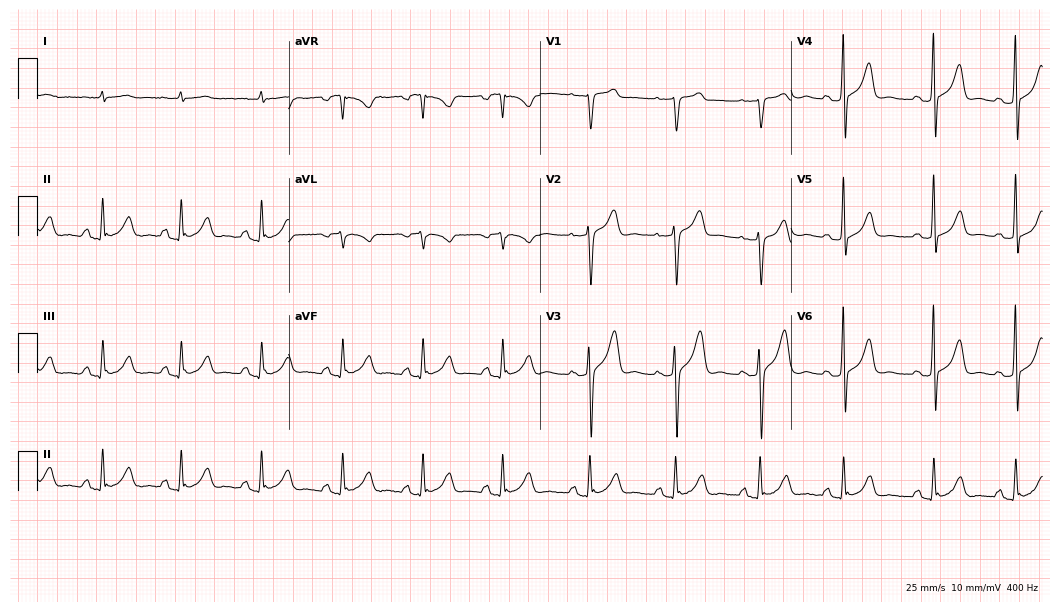
Electrocardiogram (10.2-second recording at 400 Hz), a 78-year-old man. Of the six screened findings (first-degree AV block, right bundle branch block, left bundle branch block, sinus bradycardia, atrial fibrillation, sinus tachycardia), none is recorded.